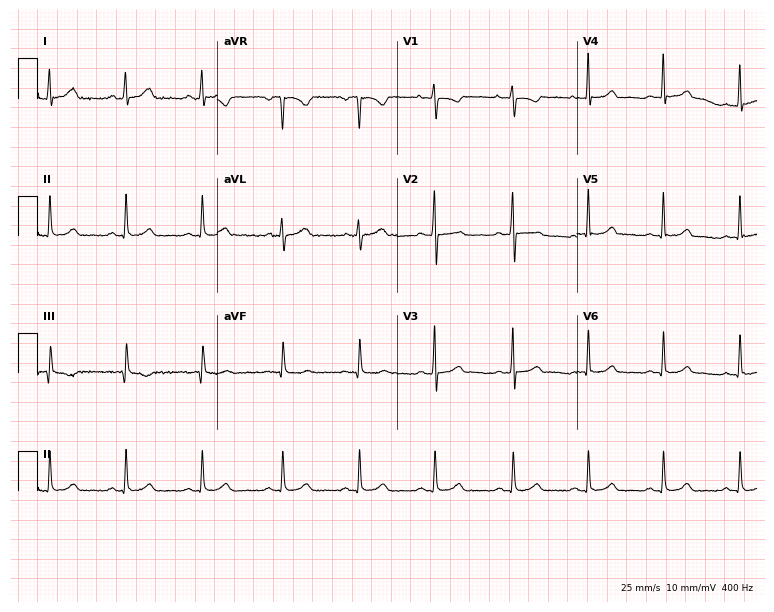
12-lead ECG (7.3-second recording at 400 Hz) from a woman, 18 years old. Screened for six findings — first-degree AV block, right bundle branch block (RBBB), left bundle branch block (LBBB), sinus bradycardia, atrial fibrillation (AF), sinus tachycardia — none is recorded.